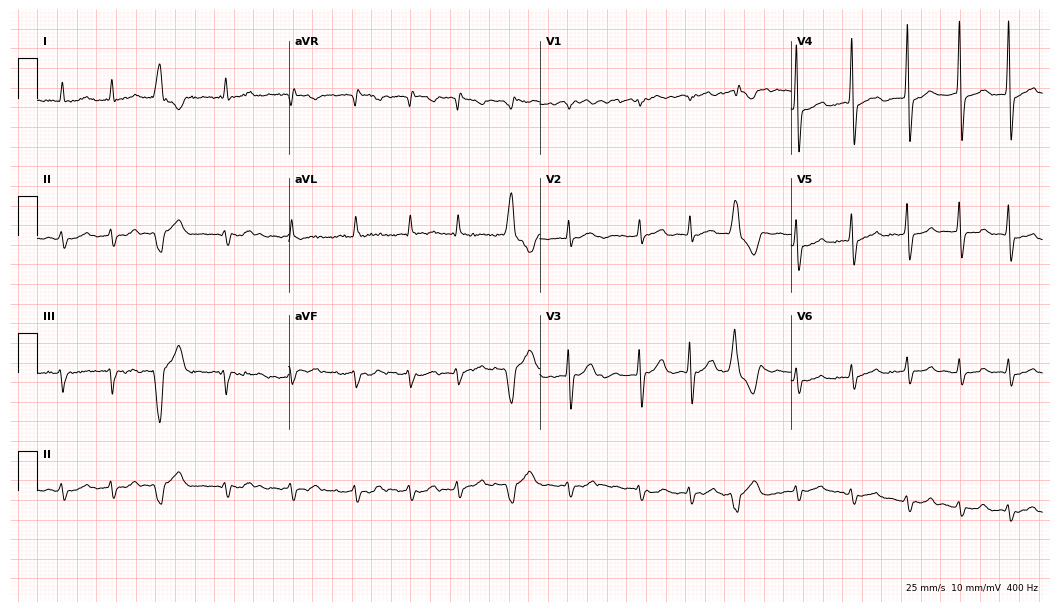
Resting 12-lead electrocardiogram (10.2-second recording at 400 Hz). Patient: an 83-year-old male. The tracing shows atrial fibrillation (AF).